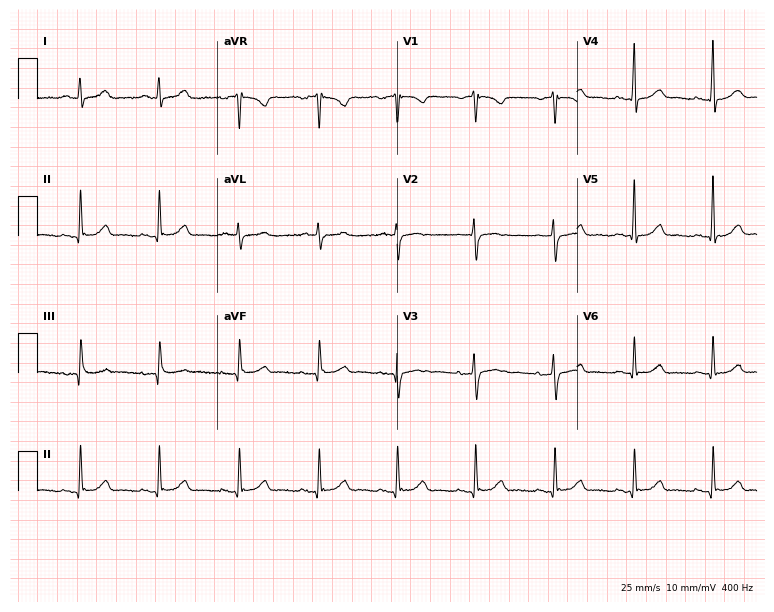
Standard 12-lead ECG recorded from a 66-year-old woman. Read as a normal ECG.